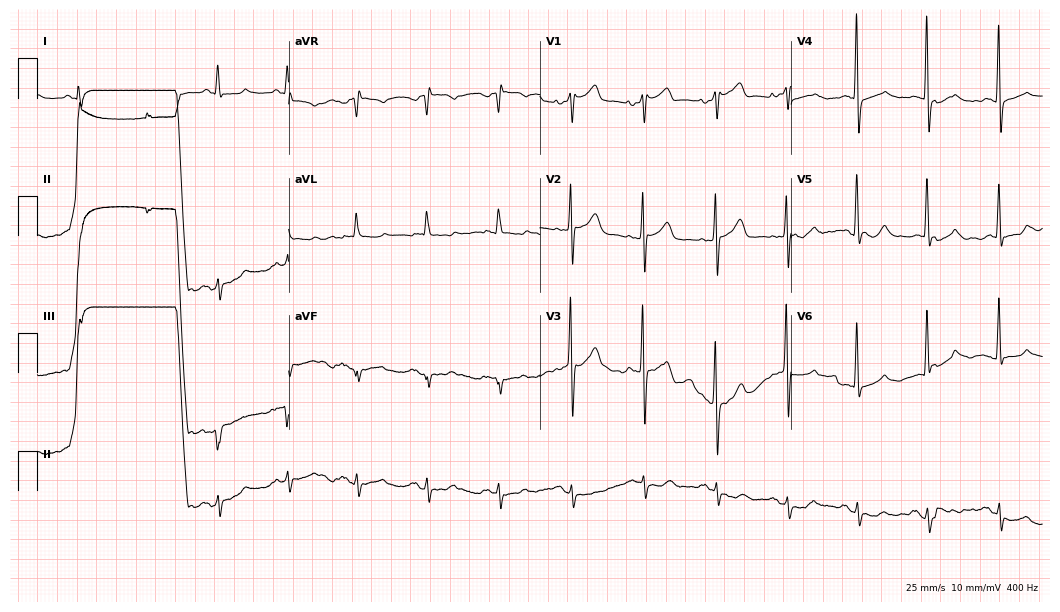
Standard 12-lead ECG recorded from a 63-year-old male (10.2-second recording at 400 Hz). None of these six findings is recorded: first-degree AV block, right bundle branch block (RBBB), left bundle branch block (LBBB), sinus bradycardia, atrial fibrillation (AF), sinus tachycardia. Only these six findings were labelled.